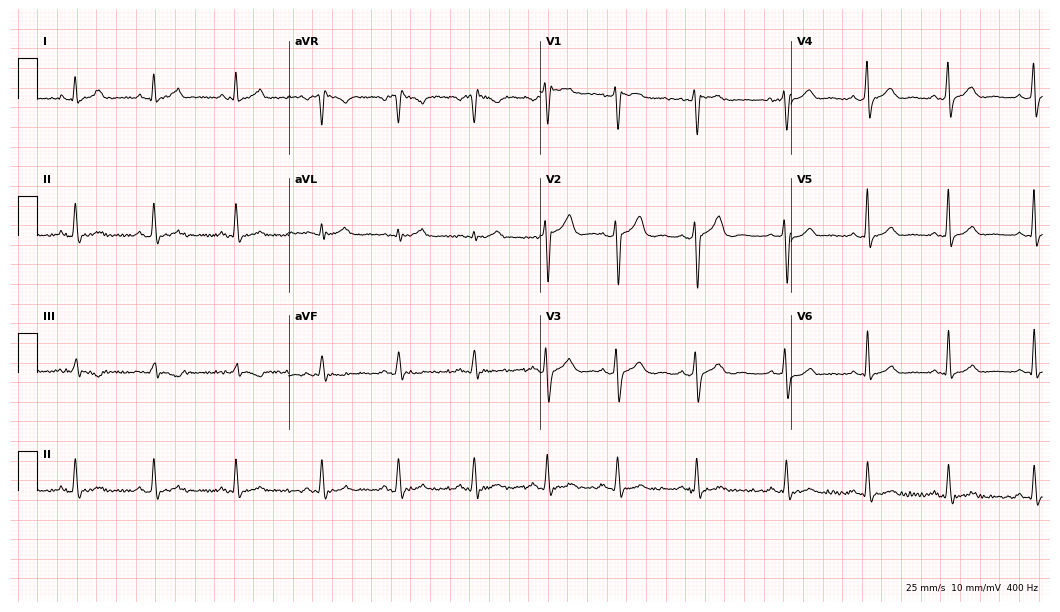
ECG (10.2-second recording at 400 Hz) — a 33-year-old male. Screened for six findings — first-degree AV block, right bundle branch block, left bundle branch block, sinus bradycardia, atrial fibrillation, sinus tachycardia — none is recorded. Only these six findings were labelled.